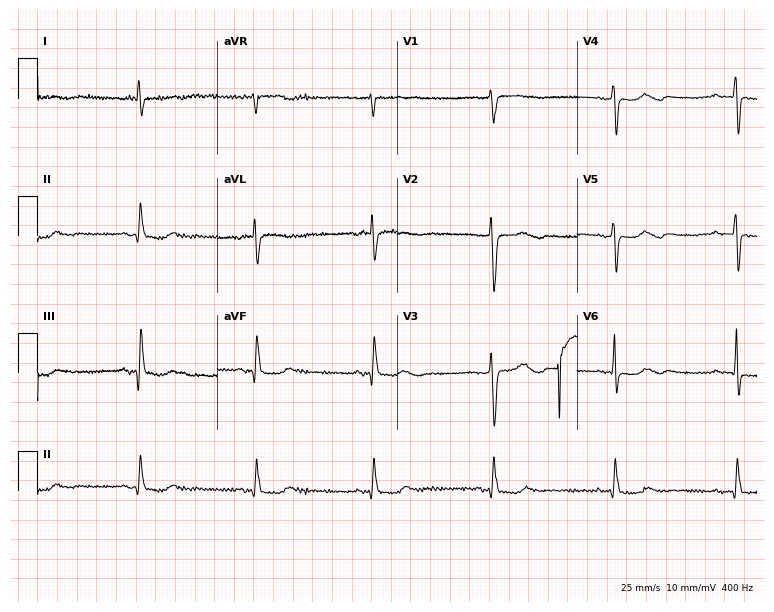
12-lead ECG from a female patient, 81 years old. Shows sinus bradycardia (a sinus rate of 50 beats per minute or less).